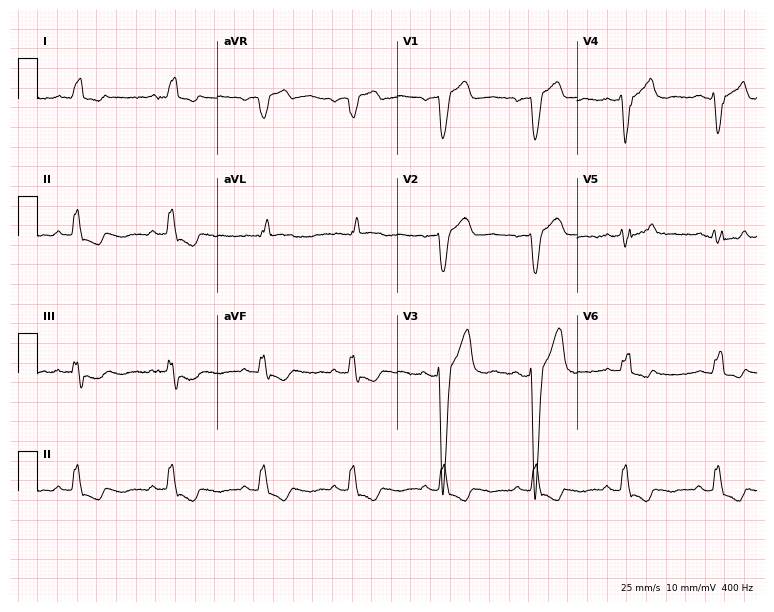
Standard 12-lead ECG recorded from a male patient, 58 years old. None of these six findings is recorded: first-degree AV block, right bundle branch block, left bundle branch block, sinus bradycardia, atrial fibrillation, sinus tachycardia. Only these six findings were labelled.